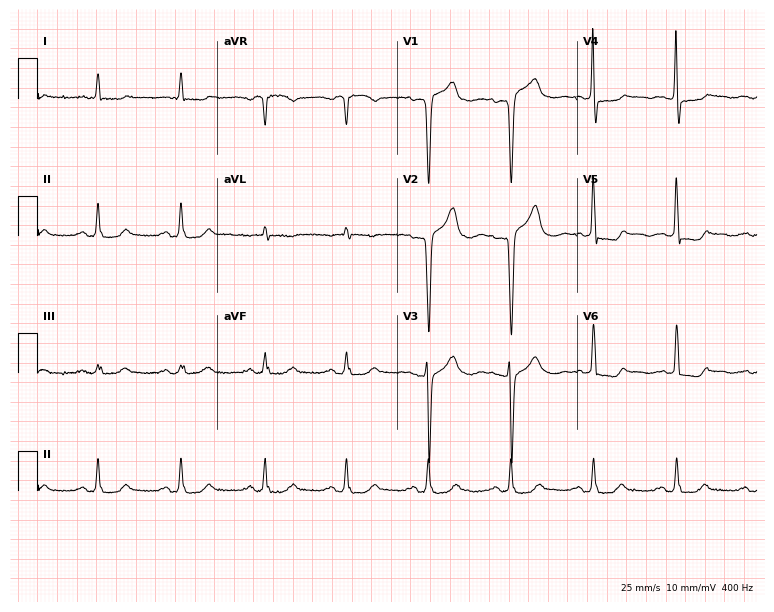
12-lead ECG from a male patient, 72 years old. Labelled as a normal ECG.